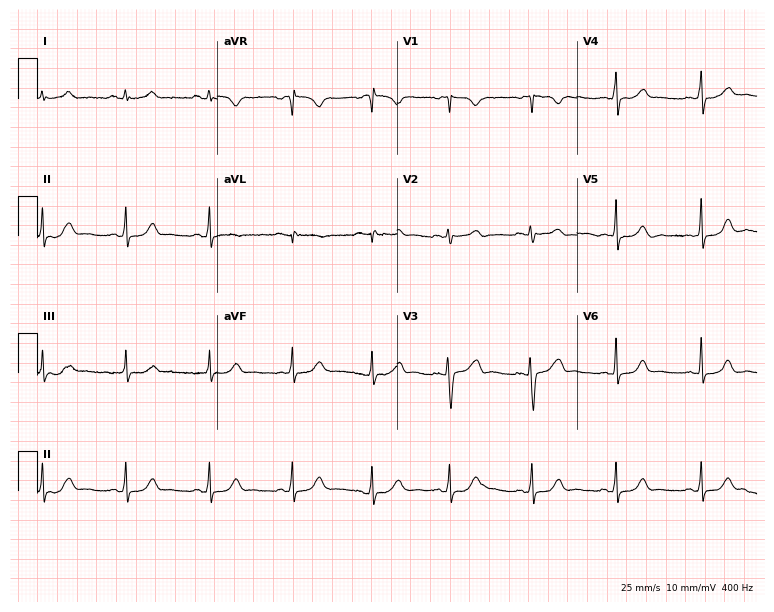
12-lead ECG (7.3-second recording at 400 Hz) from a 35-year-old woman. Labelled as a normal ECG.